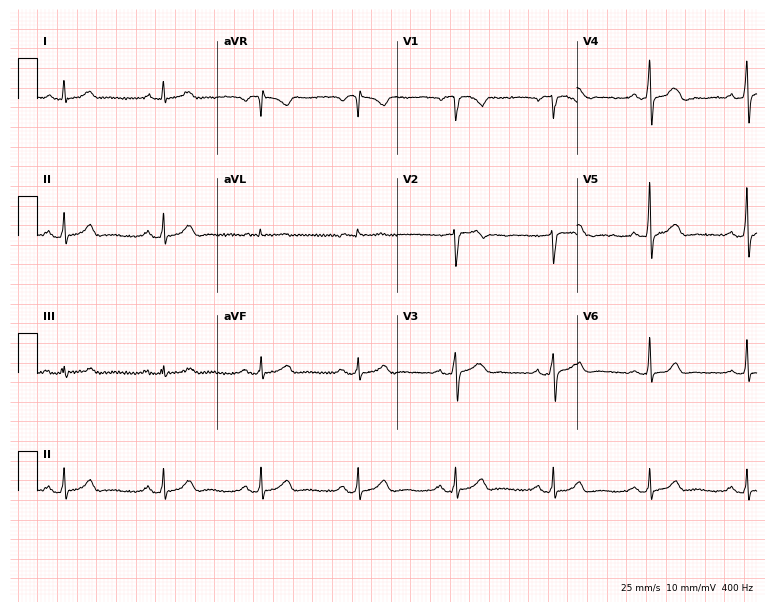
12-lead ECG from a male, 61 years old. No first-degree AV block, right bundle branch block, left bundle branch block, sinus bradycardia, atrial fibrillation or sinus tachycardia recorded for this tracing.